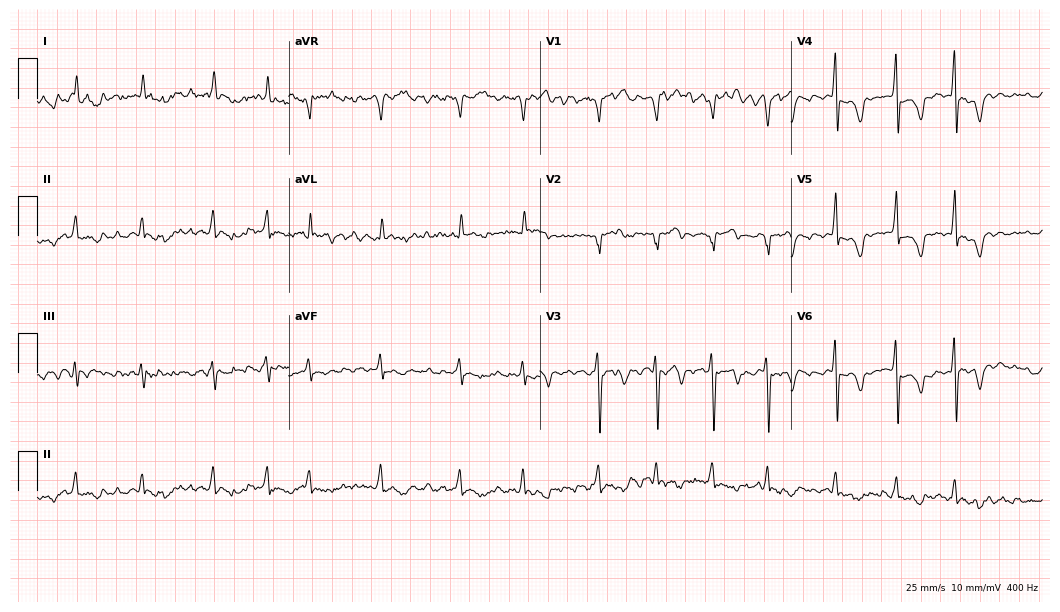
Electrocardiogram, a 52-year-old man. Of the six screened findings (first-degree AV block, right bundle branch block, left bundle branch block, sinus bradycardia, atrial fibrillation, sinus tachycardia), none is recorded. Findings outside these six are not listed.